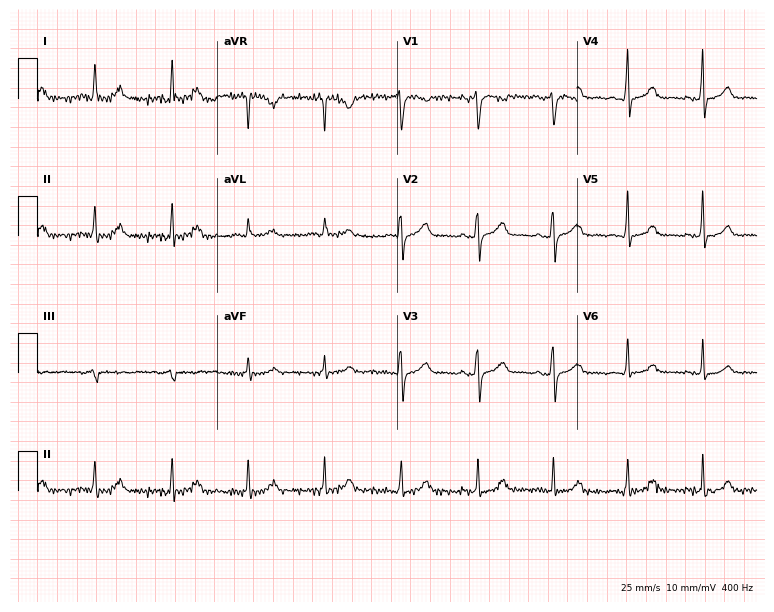
12-lead ECG from a woman, 62 years old. Labelled as a normal ECG.